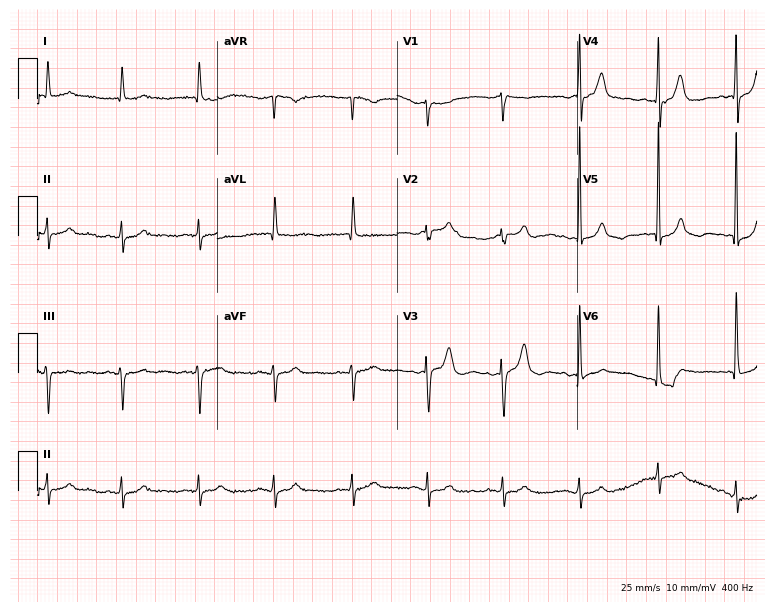
12-lead ECG from a female, 85 years old. Labelled as a normal ECG.